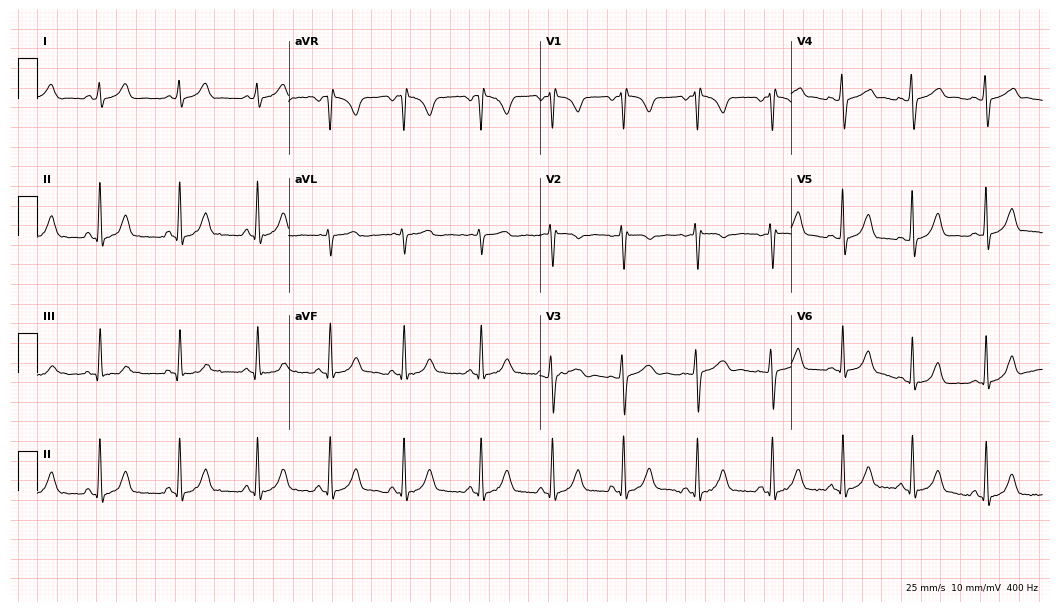
ECG — a female, 20 years old. Labelled as a normal ECG.